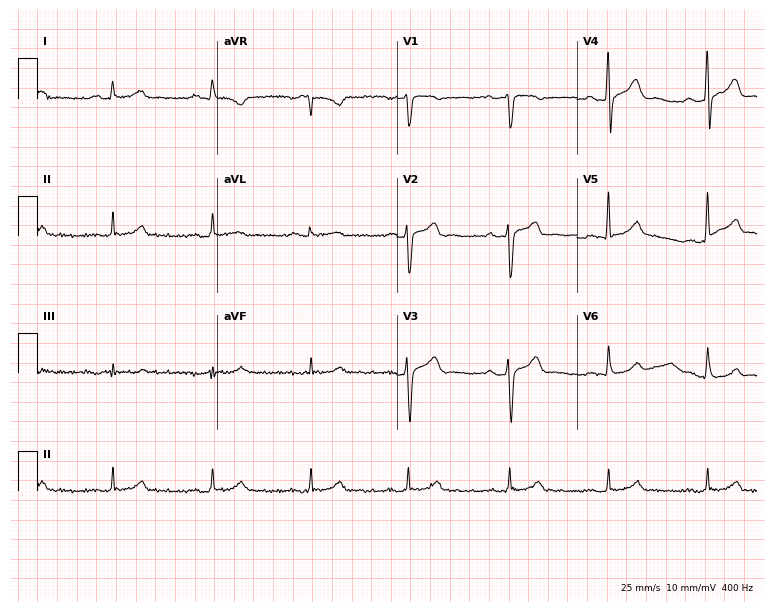
Electrocardiogram (7.3-second recording at 400 Hz), a 55-year-old man. Overall reading on record: normal ECG.